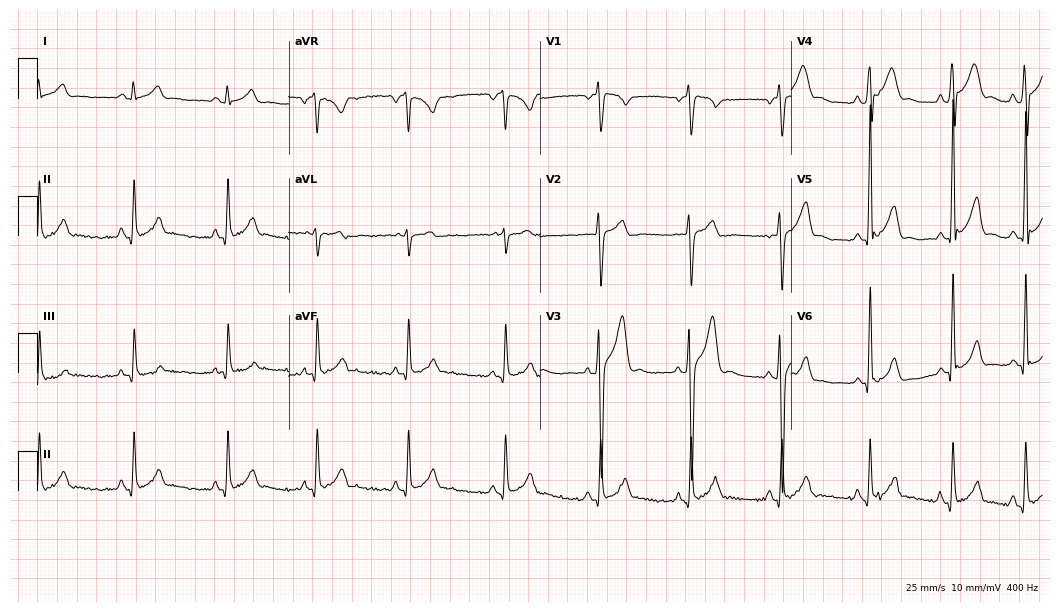
Electrocardiogram (10.2-second recording at 400 Hz), a man, 17 years old. Overall reading on record: normal ECG.